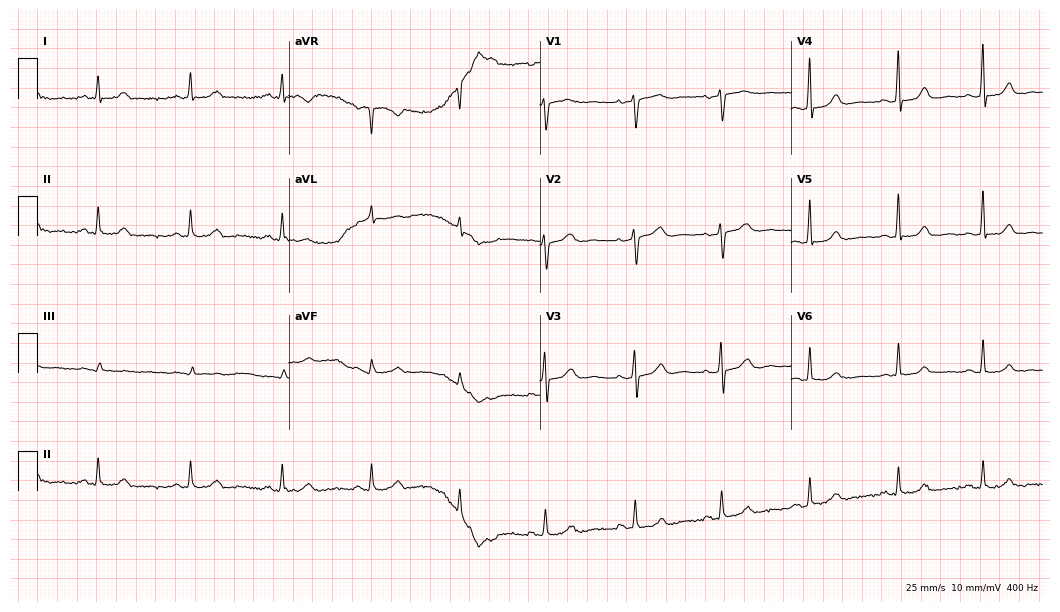
12-lead ECG from a female patient, 61 years old. Labelled as a normal ECG.